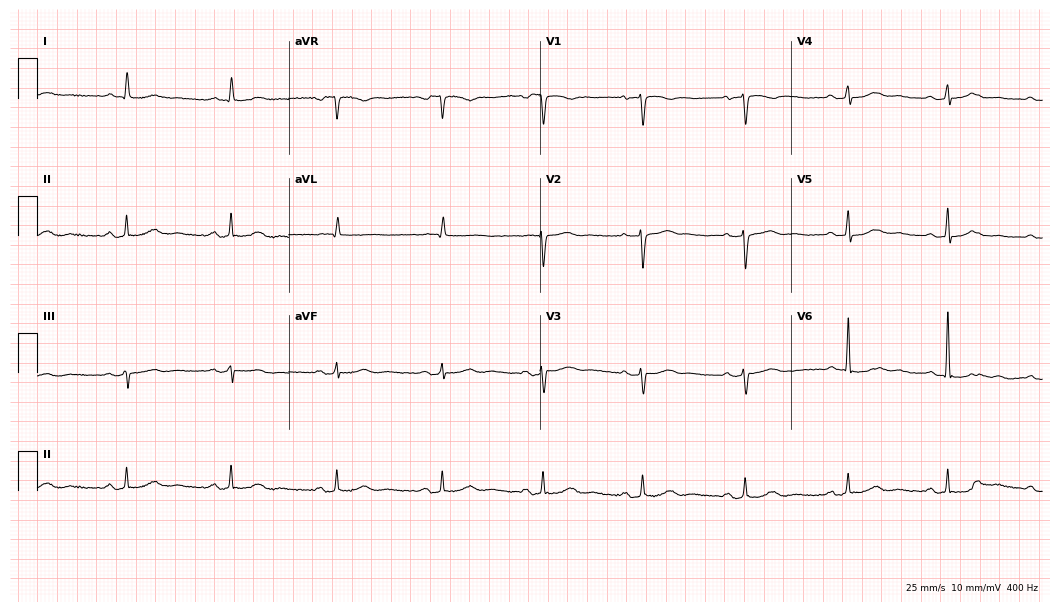
12-lead ECG (10.2-second recording at 400 Hz) from a woman, 62 years old. Labelled as a normal ECG.